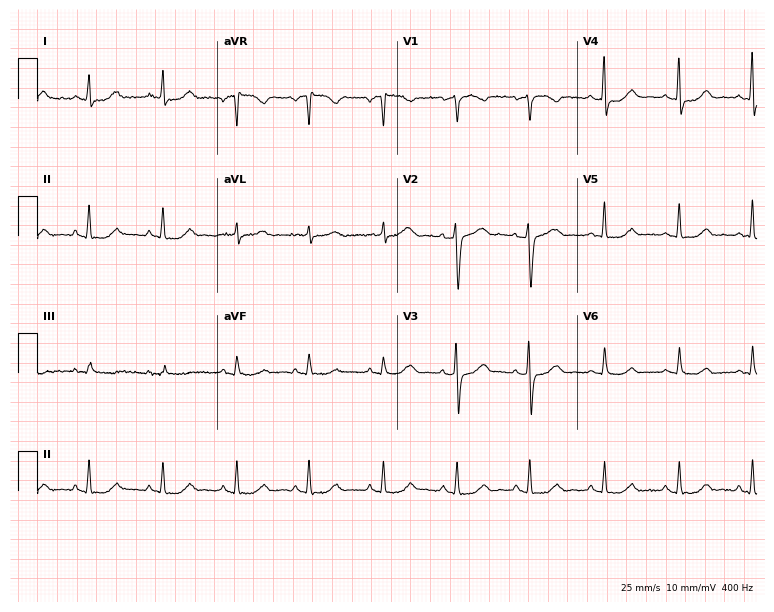
ECG — a 53-year-old woman. Labelled as a normal ECG.